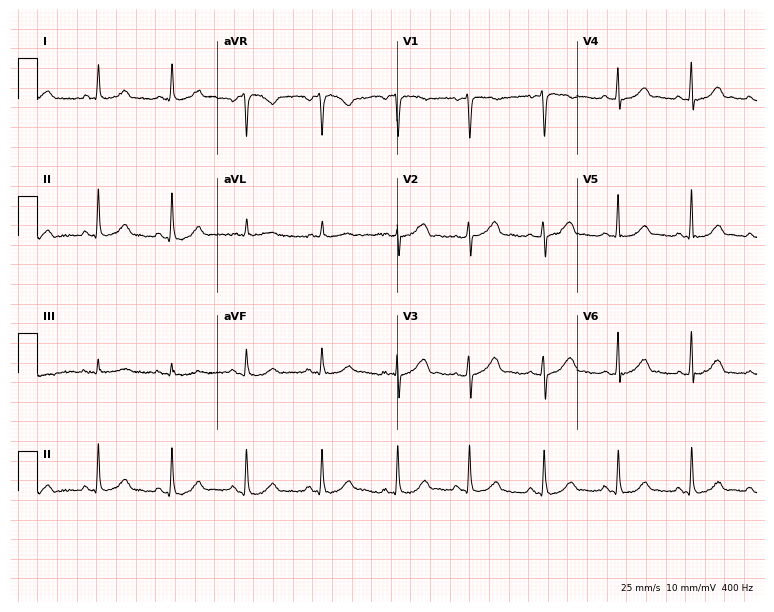
12-lead ECG (7.3-second recording at 400 Hz) from a 44-year-old female patient. Labelled as a normal ECG.